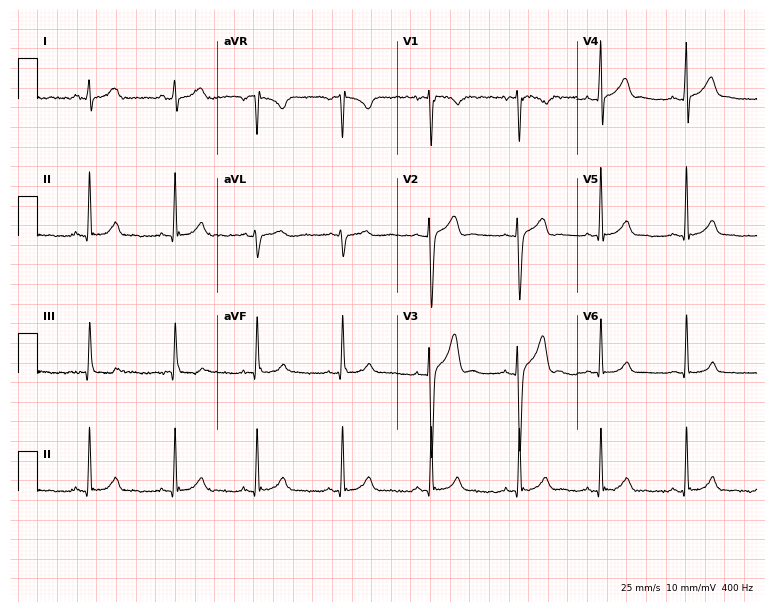
12-lead ECG from a 19-year-old man (7.3-second recording at 400 Hz). Recorded interpretation: within normal limits.